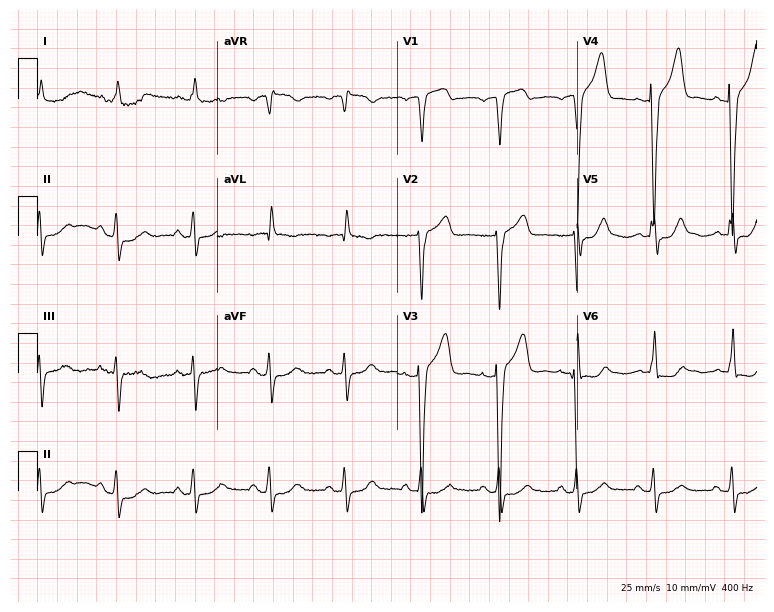
ECG (7.3-second recording at 400 Hz) — a 68-year-old male patient. Screened for six findings — first-degree AV block, right bundle branch block (RBBB), left bundle branch block (LBBB), sinus bradycardia, atrial fibrillation (AF), sinus tachycardia — none is recorded. Other findings, if any, are not listed.